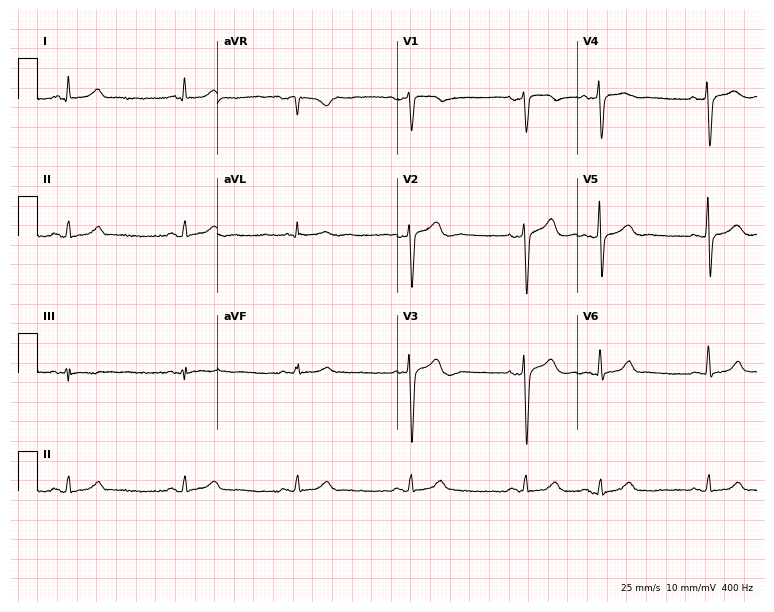
Electrocardiogram, a 55-year-old male patient. Overall reading on record: normal ECG.